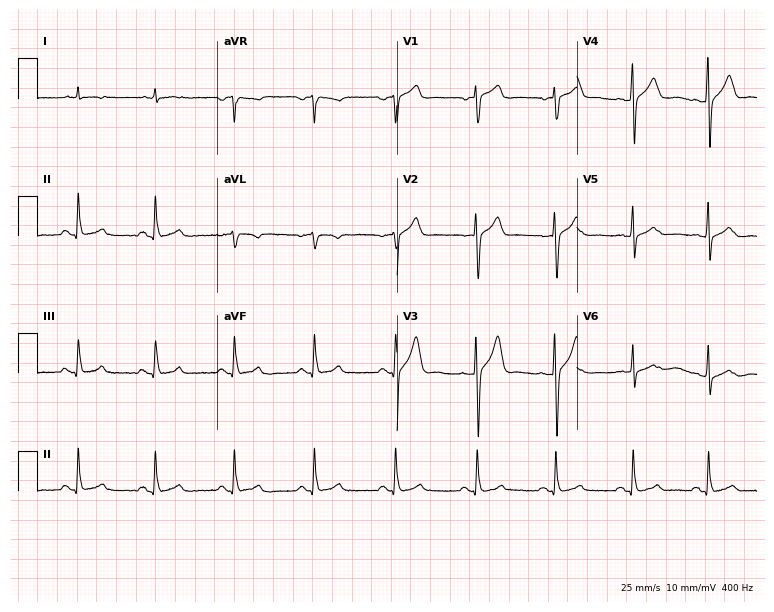
12-lead ECG from a 74-year-old man (7.3-second recording at 400 Hz). No first-degree AV block, right bundle branch block, left bundle branch block, sinus bradycardia, atrial fibrillation or sinus tachycardia recorded for this tracing. Findings outside these six are not listed.